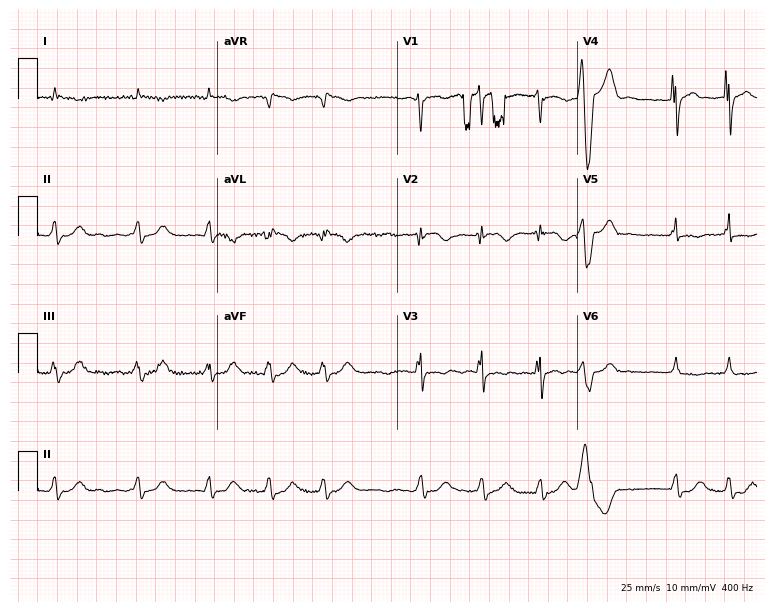
Electrocardiogram, a male, 62 years old. Interpretation includes atrial fibrillation.